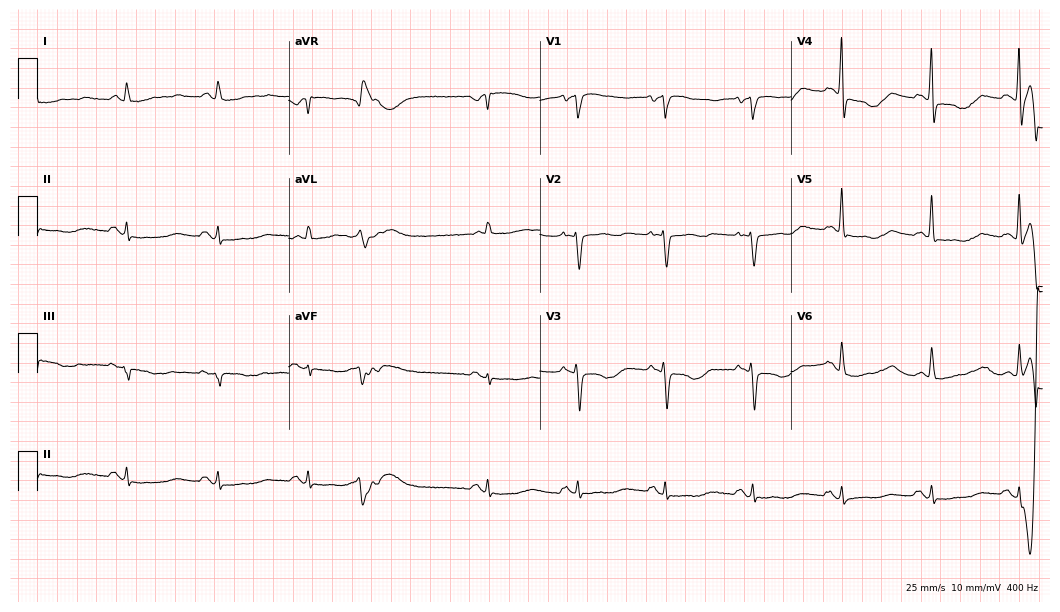
Electrocardiogram, a female patient, 77 years old. Of the six screened findings (first-degree AV block, right bundle branch block, left bundle branch block, sinus bradycardia, atrial fibrillation, sinus tachycardia), none is recorded.